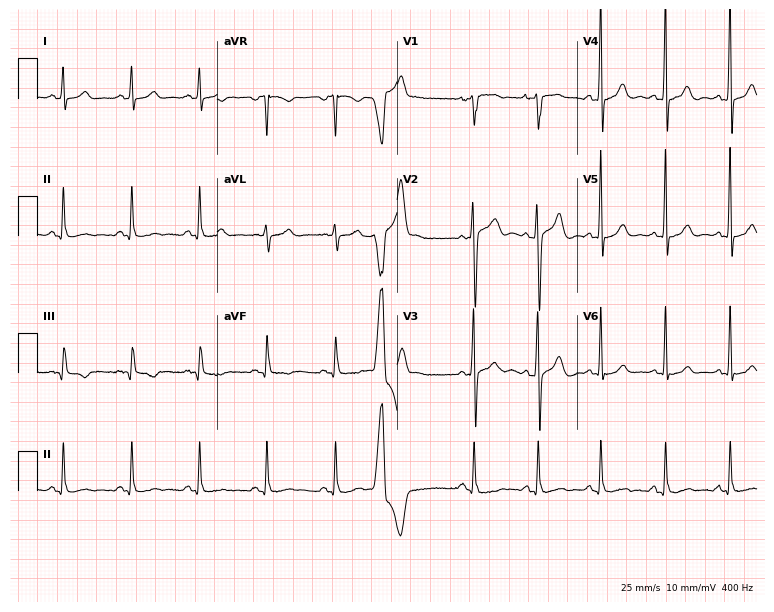
12-lead ECG (7.3-second recording at 400 Hz) from a 33-year-old male patient. Screened for six findings — first-degree AV block, right bundle branch block (RBBB), left bundle branch block (LBBB), sinus bradycardia, atrial fibrillation (AF), sinus tachycardia — none is recorded. Other findings, if any, are not listed.